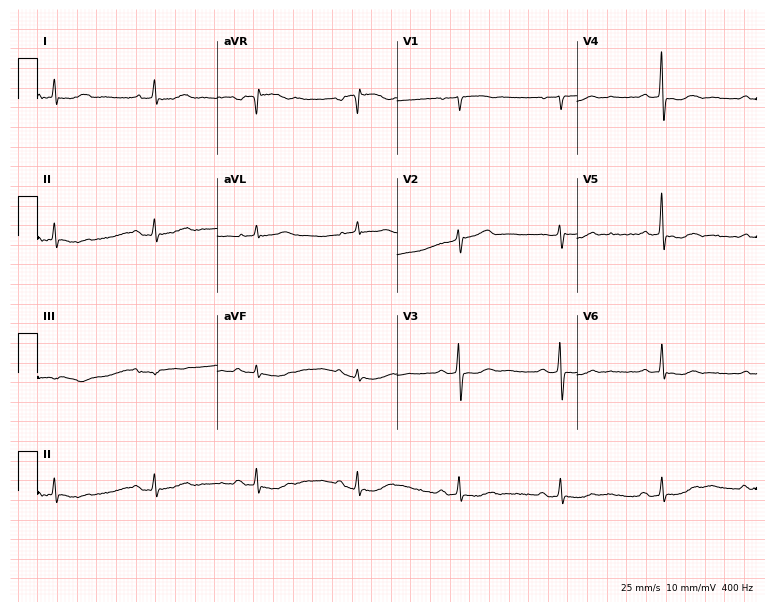
12-lead ECG from a 65-year-old female patient. Screened for six findings — first-degree AV block, right bundle branch block, left bundle branch block, sinus bradycardia, atrial fibrillation, sinus tachycardia — none is recorded.